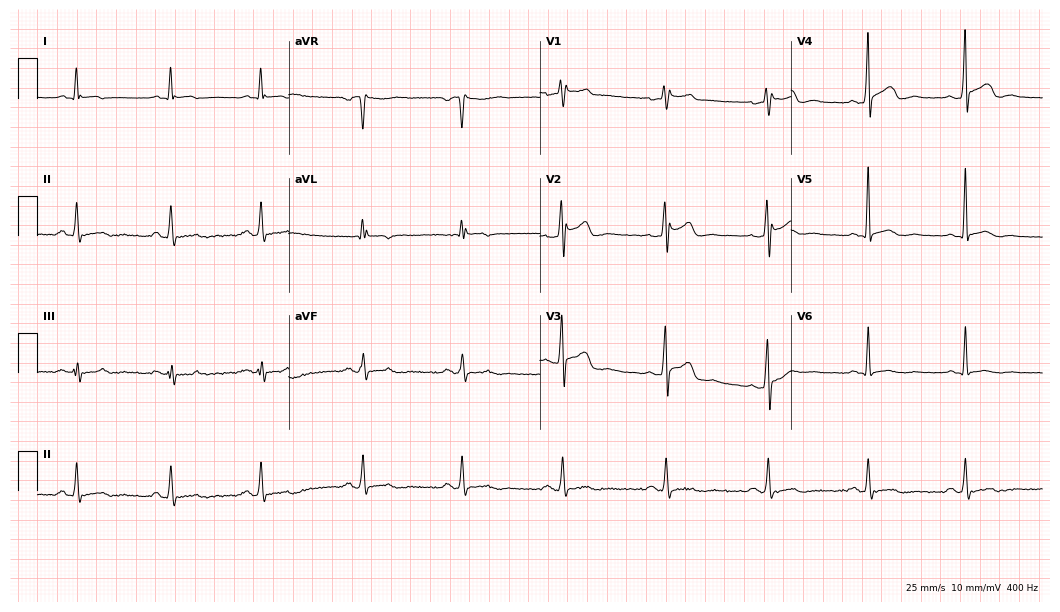
12-lead ECG from a 34-year-old man. No first-degree AV block, right bundle branch block, left bundle branch block, sinus bradycardia, atrial fibrillation or sinus tachycardia recorded for this tracing.